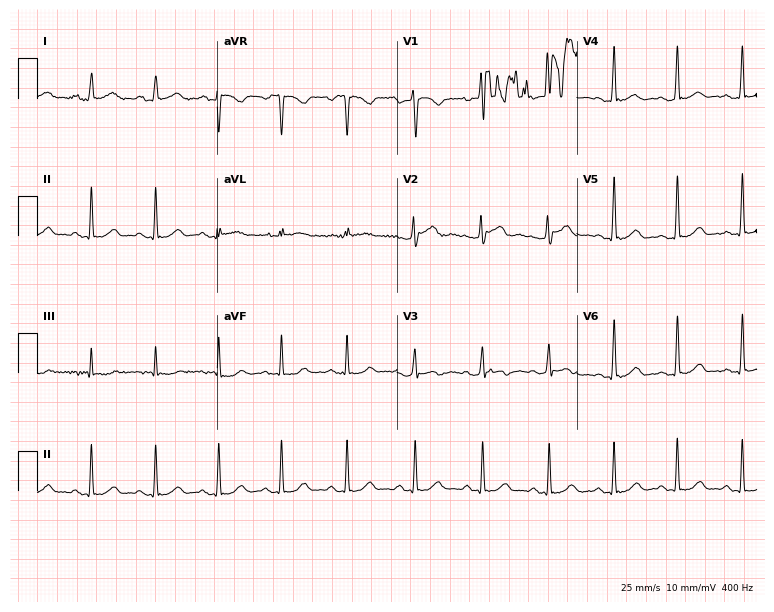
Electrocardiogram (7.3-second recording at 400 Hz), a 37-year-old woman. Of the six screened findings (first-degree AV block, right bundle branch block (RBBB), left bundle branch block (LBBB), sinus bradycardia, atrial fibrillation (AF), sinus tachycardia), none is recorded. Only these six findings were labelled.